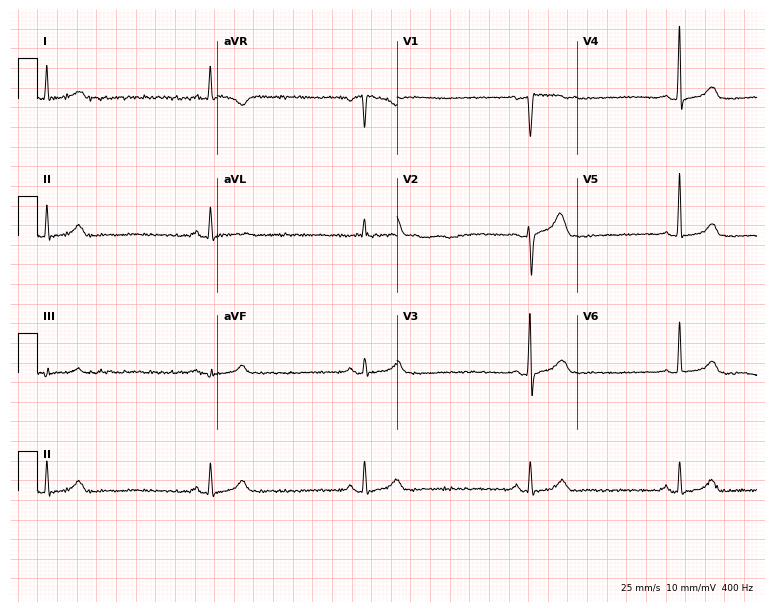
Standard 12-lead ECG recorded from a man, 60 years old. The tracing shows sinus bradycardia (a sinus rate of 50 beats per minute or less).